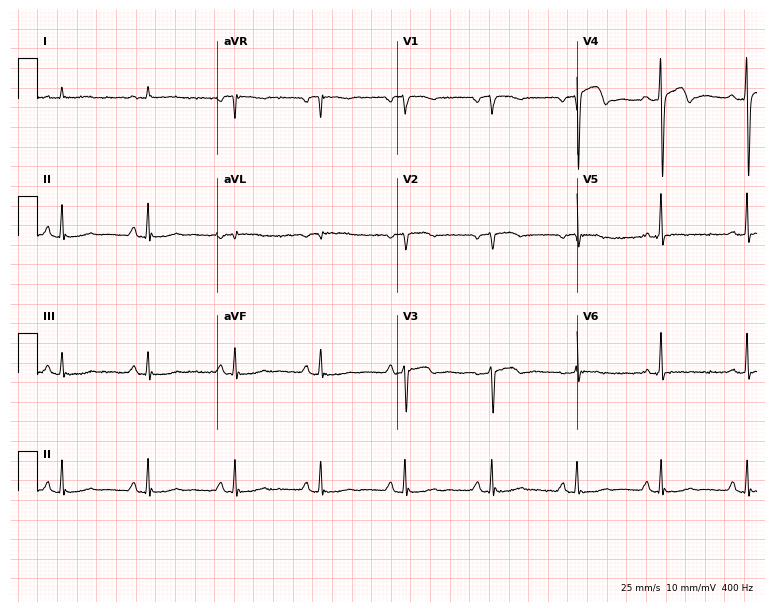
ECG — an 82-year-old female. Screened for six findings — first-degree AV block, right bundle branch block (RBBB), left bundle branch block (LBBB), sinus bradycardia, atrial fibrillation (AF), sinus tachycardia — none is recorded. Other findings, if any, are not listed.